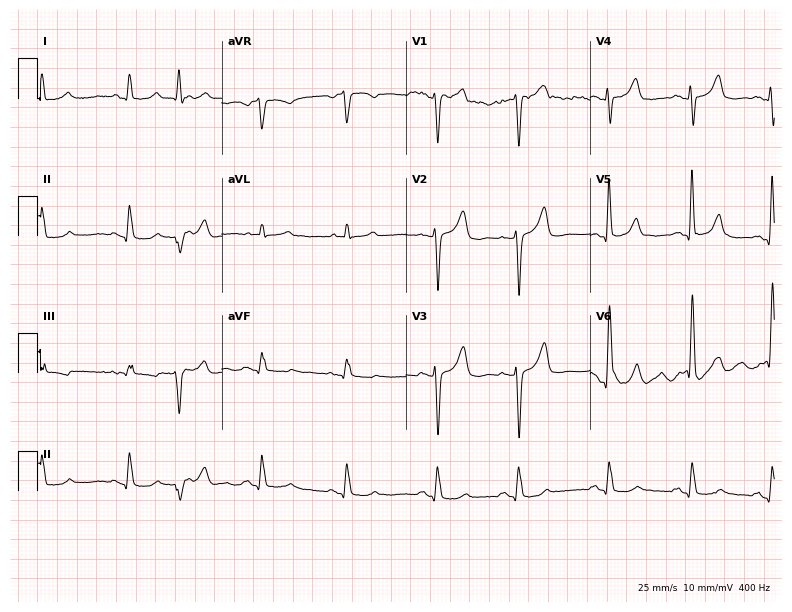
ECG (7.5-second recording at 400 Hz) — an 81-year-old male. Screened for six findings — first-degree AV block, right bundle branch block (RBBB), left bundle branch block (LBBB), sinus bradycardia, atrial fibrillation (AF), sinus tachycardia — none is recorded.